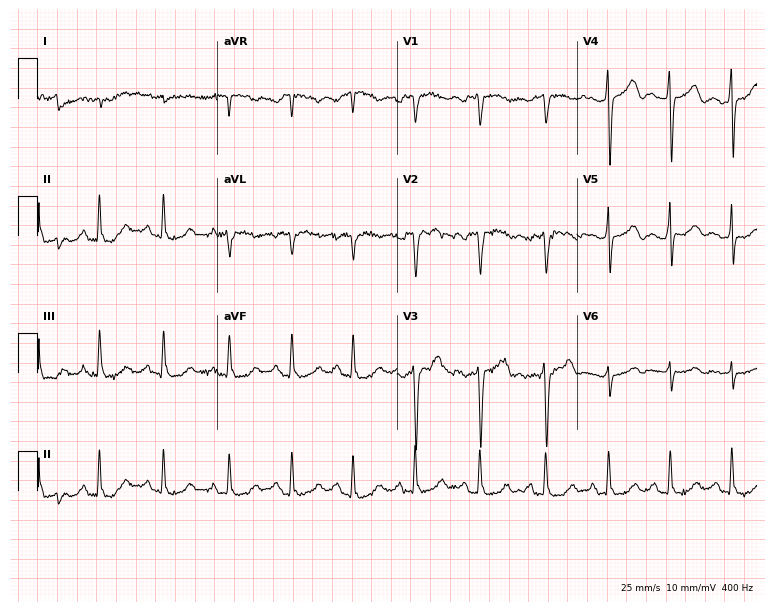
12-lead ECG from a man, 56 years old. Labelled as a normal ECG.